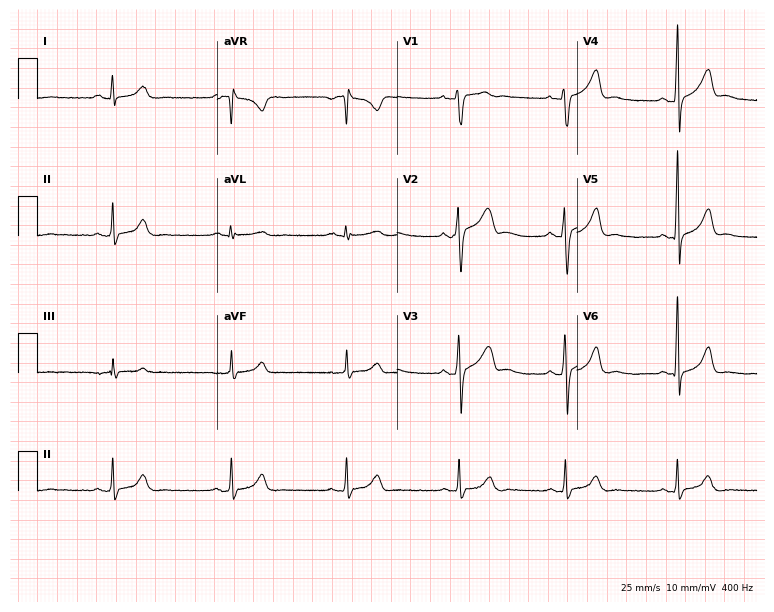
Electrocardiogram, a man, 30 years old. Overall reading on record: normal ECG.